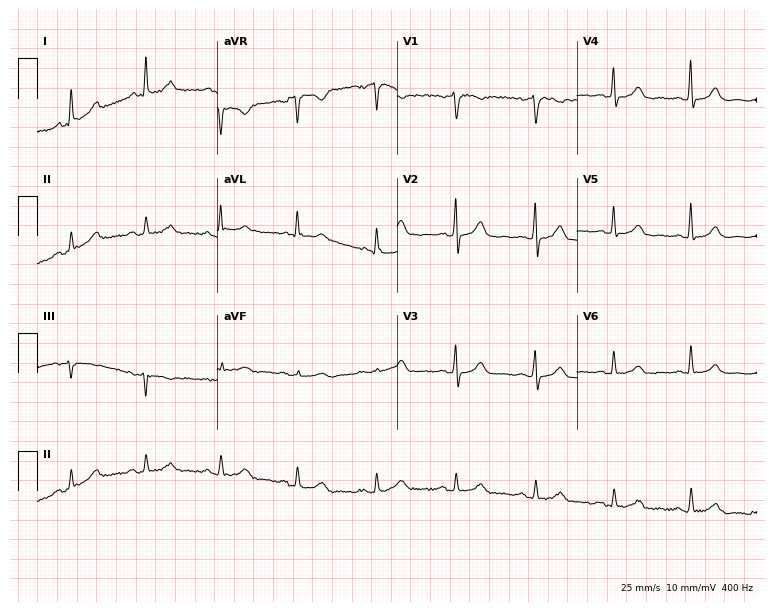
Resting 12-lead electrocardiogram (7.3-second recording at 400 Hz). Patient: a woman, 60 years old. None of these six findings is recorded: first-degree AV block, right bundle branch block (RBBB), left bundle branch block (LBBB), sinus bradycardia, atrial fibrillation (AF), sinus tachycardia.